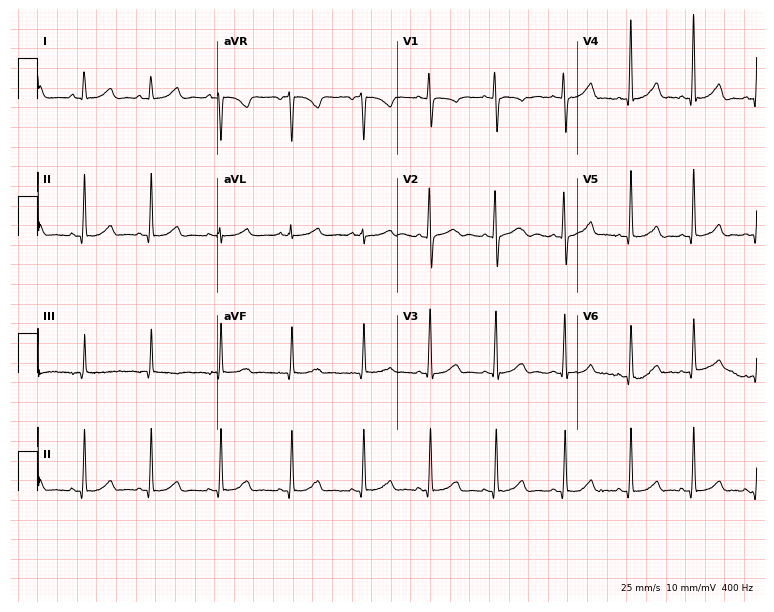
Electrocardiogram, a female patient, 17 years old. Of the six screened findings (first-degree AV block, right bundle branch block (RBBB), left bundle branch block (LBBB), sinus bradycardia, atrial fibrillation (AF), sinus tachycardia), none is recorded.